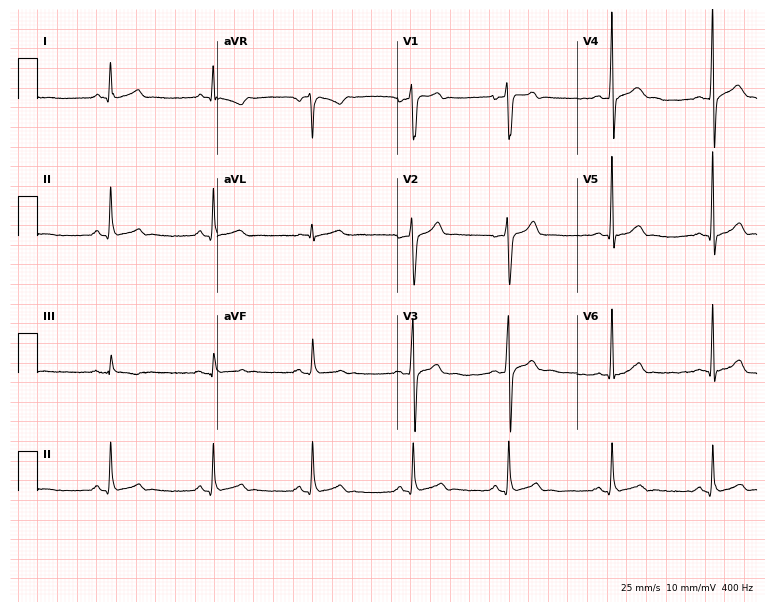
Resting 12-lead electrocardiogram. Patient: a 30-year-old male. Read as a normal ECG.